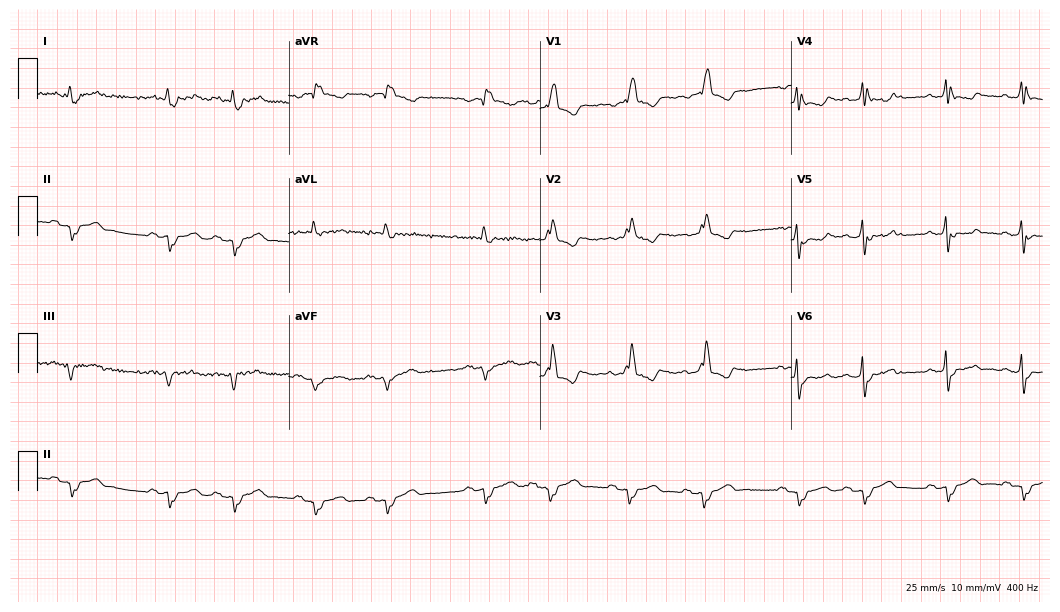
12-lead ECG (10.2-second recording at 400 Hz) from a man, 81 years old. Findings include right bundle branch block.